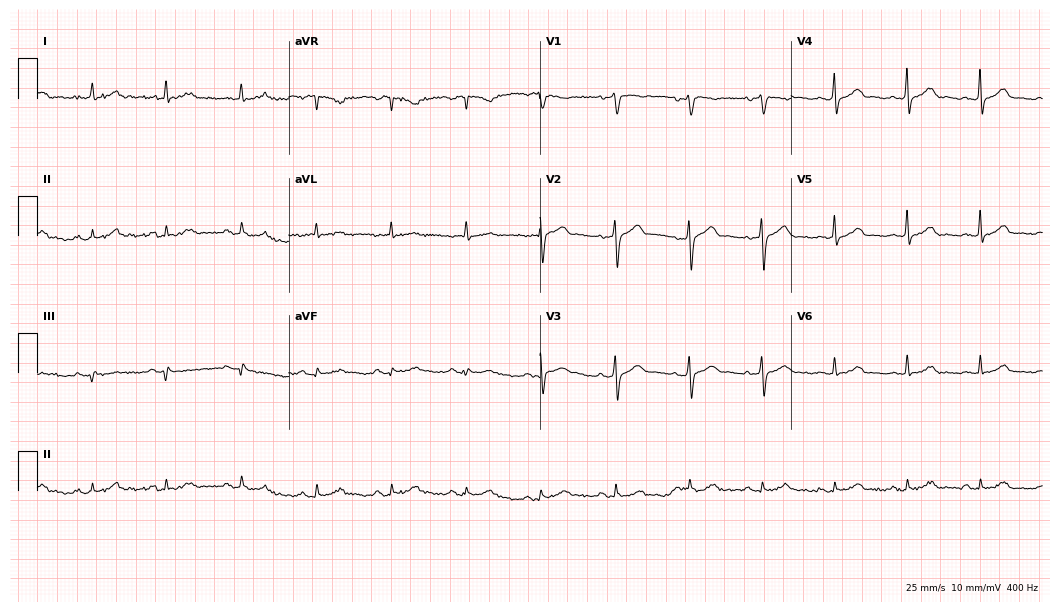
12-lead ECG from a 62-year-old man (10.2-second recording at 400 Hz). Recorded interpretation: within normal limits.